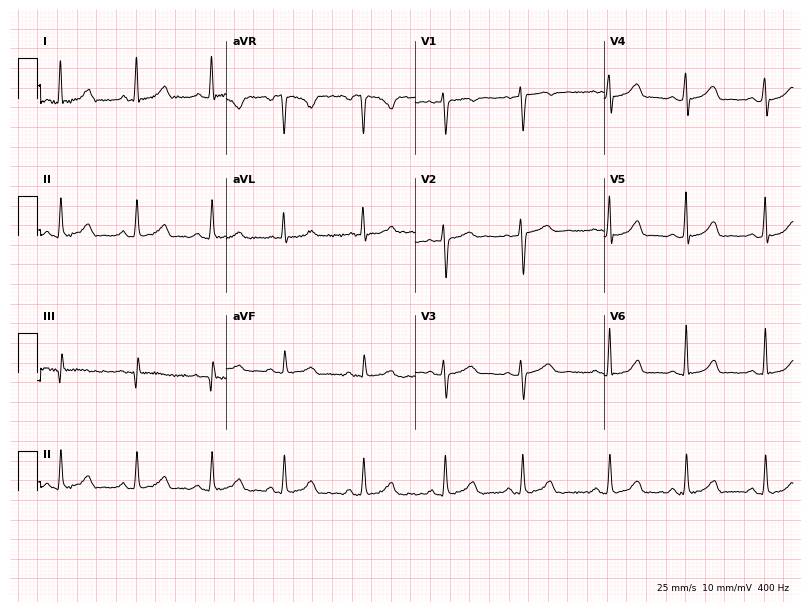
Standard 12-lead ECG recorded from a 23-year-old female patient. Read as a normal ECG.